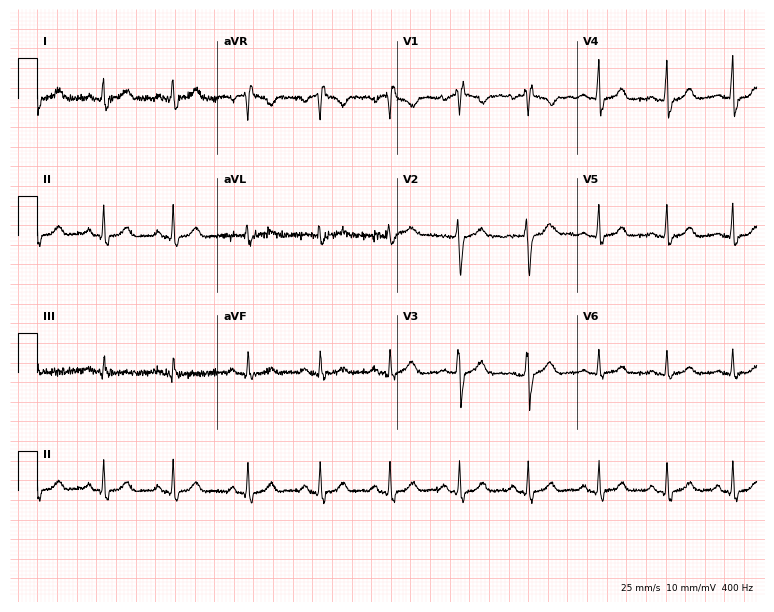
Standard 12-lead ECG recorded from a 31-year-old female (7.3-second recording at 400 Hz). None of these six findings is recorded: first-degree AV block, right bundle branch block (RBBB), left bundle branch block (LBBB), sinus bradycardia, atrial fibrillation (AF), sinus tachycardia. Only these six findings were labelled.